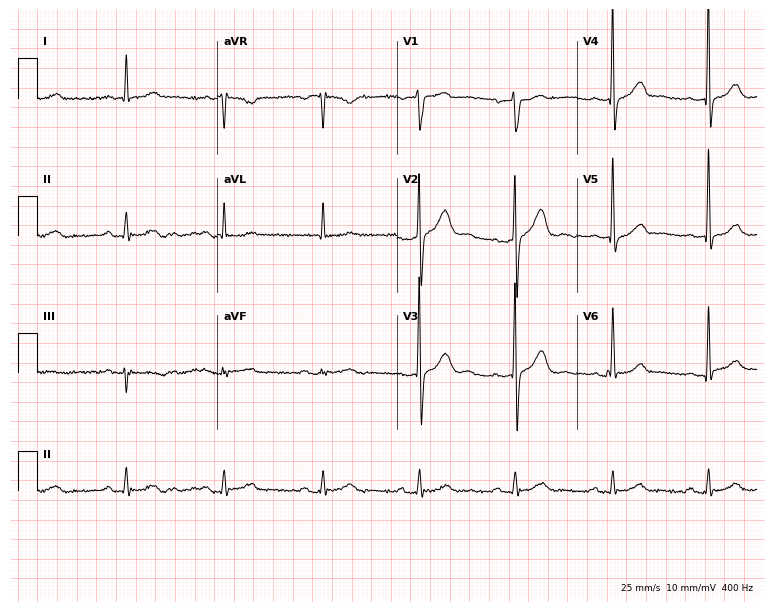
ECG (7.3-second recording at 400 Hz) — a 70-year-old man. Labelled as a normal ECG.